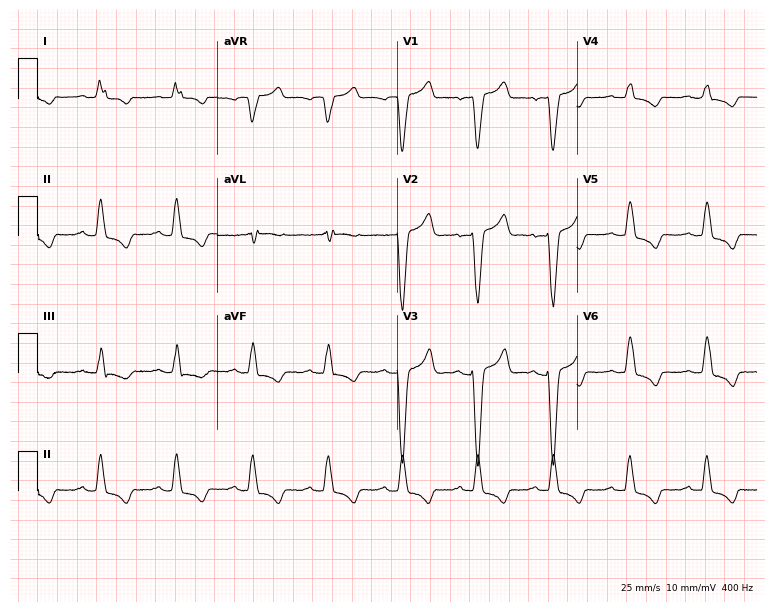
12-lead ECG from an 83-year-old female. Findings include left bundle branch block.